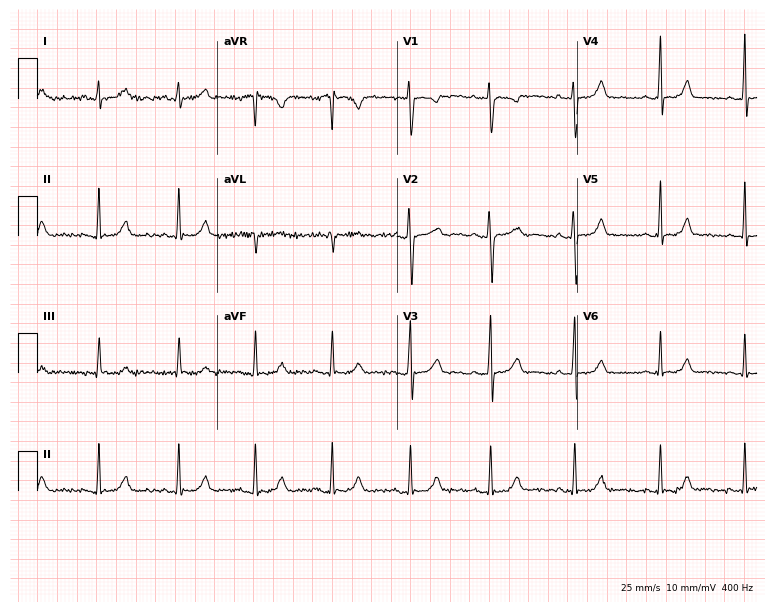
Electrocardiogram, a woman, 28 years old. Overall reading on record: normal ECG.